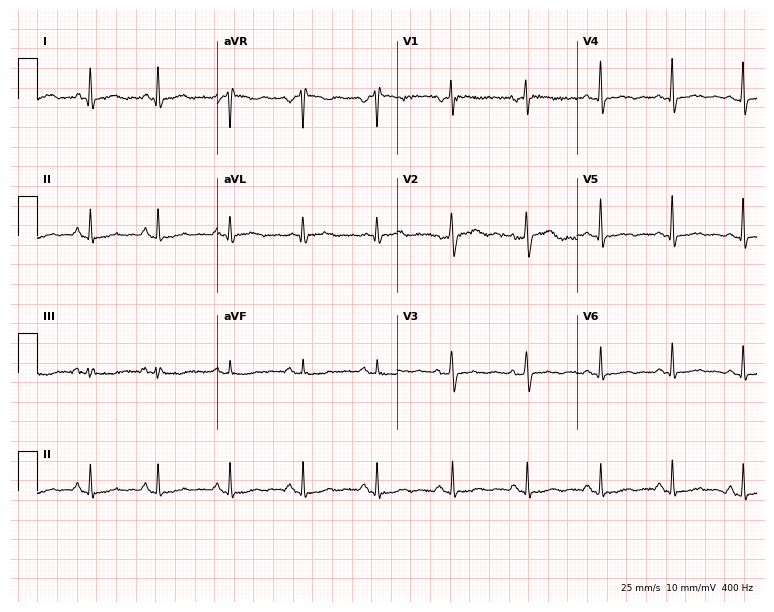
ECG (7.3-second recording at 400 Hz) — a 55-year-old female patient. Screened for six findings — first-degree AV block, right bundle branch block (RBBB), left bundle branch block (LBBB), sinus bradycardia, atrial fibrillation (AF), sinus tachycardia — none is recorded.